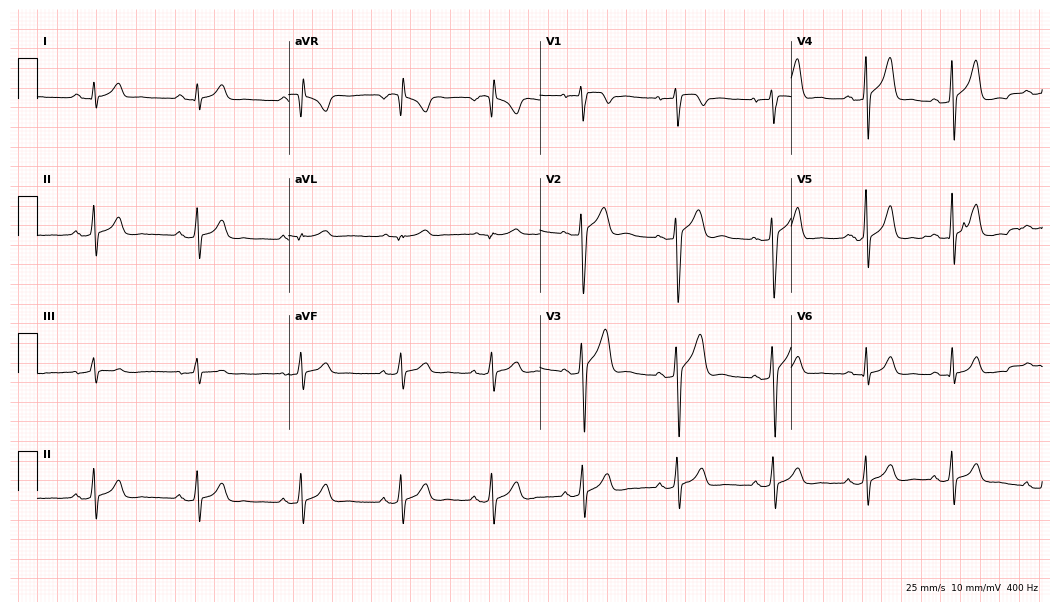
ECG — a 28-year-old male patient. Labelled as a normal ECG.